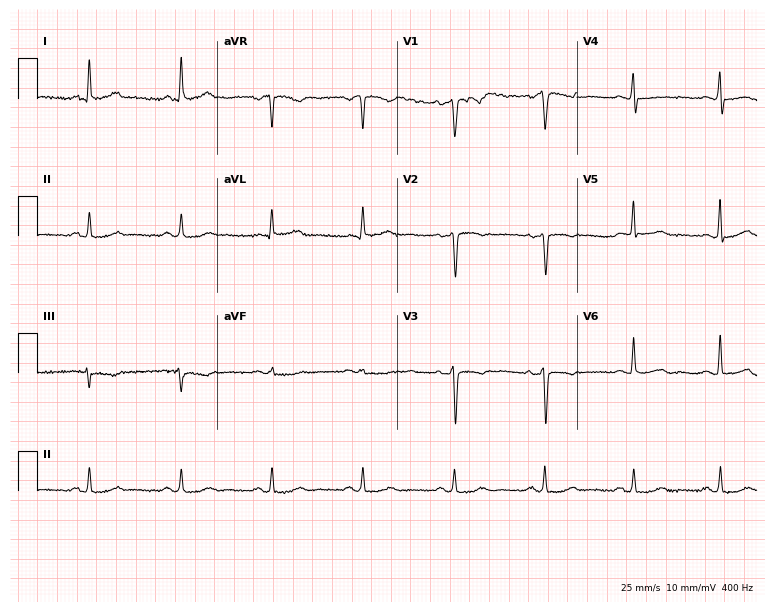
ECG (7.3-second recording at 400 Hz) — a female, 58 years old. Screened for six findings — first-degree AV block, right bundle branch block (RBBB), left bundle branch block (LBBB), sinus bradycardia, atrial fibrillation (AF), sinus tachycardia — none is recorded.